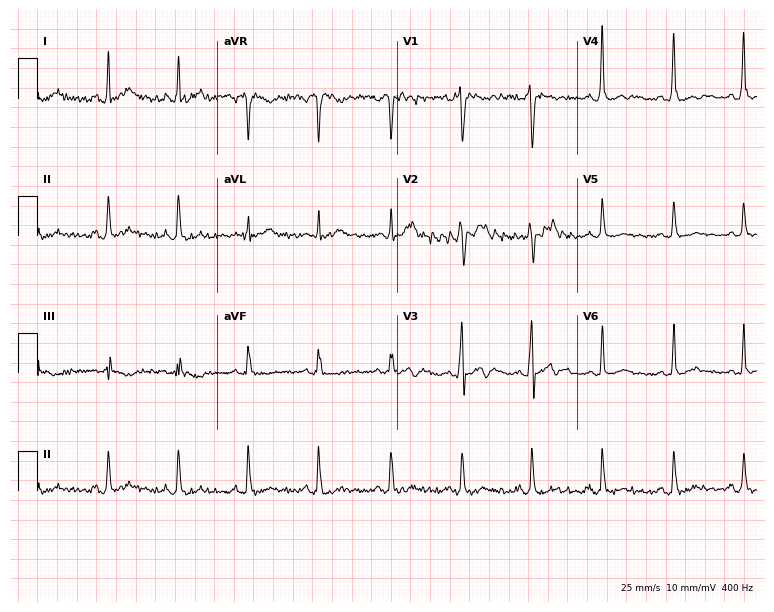
ECG (7.3-second recording at 400 Hz) — a male patient, 26 years old. Screened for six findings — first-degree AV block, right bundle branch block (RBBB), left bundle branch block (LBBB), sinus bradycardia, atrial fibrillation (AF), sinus tachycardia — none is recorded.